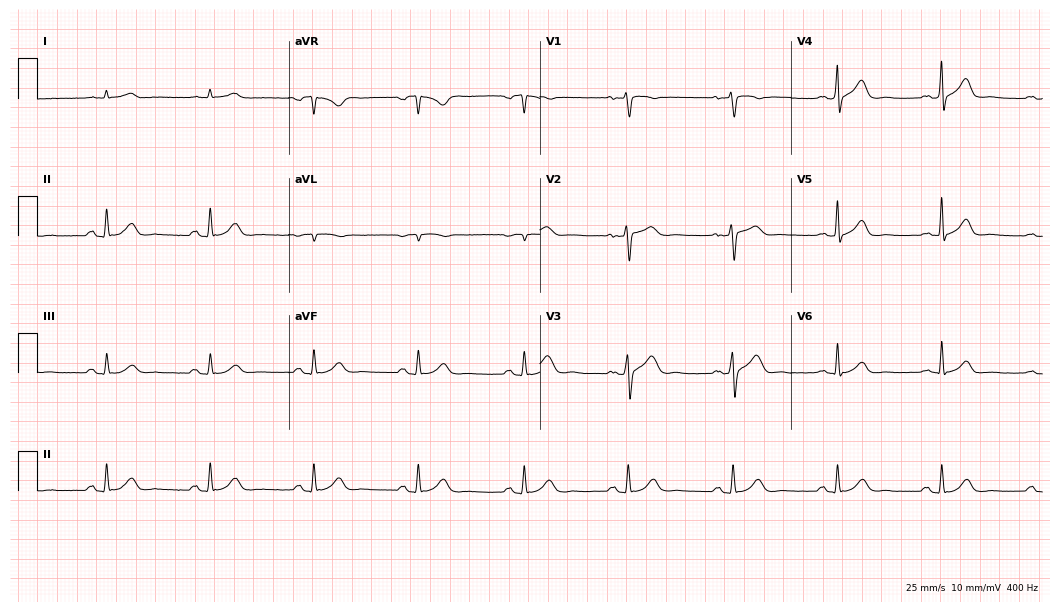
Standard 12-lead ECG recorded from a 57-year-old man (10.2-second recording at 400 Hz). Read as a normal ECG.